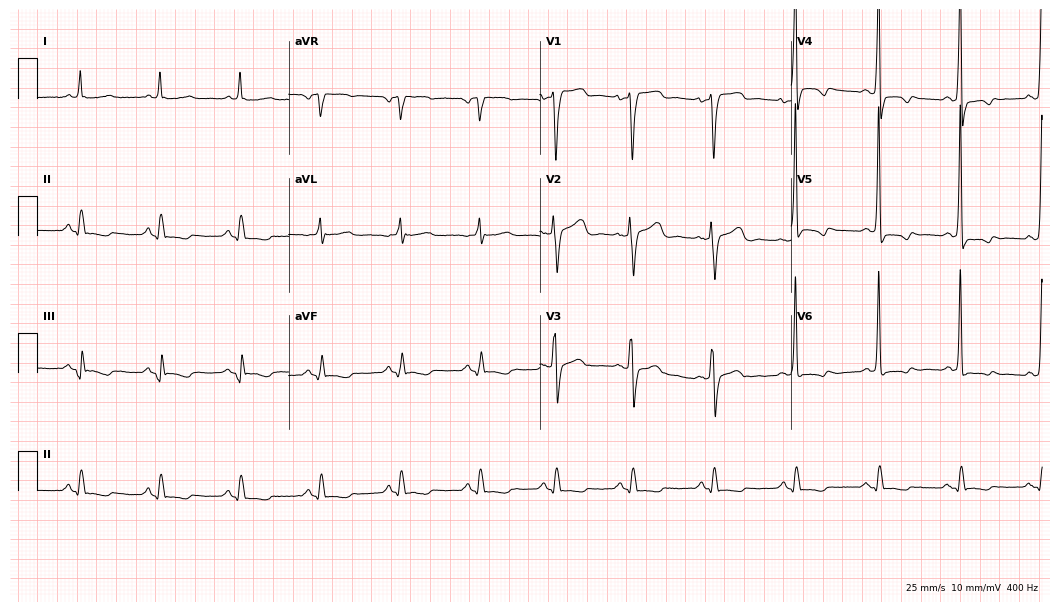
12-lead ECG (10.2-second recording at 400 Hz) from a male patient, 61 years old. Screened for six findings — first-degree AV block, right bundle branch block, left bundle branch block, sinus bradycardia, atrial fibrillation, sinus tachycardia — none is recorded. Only these six findings were labelled.